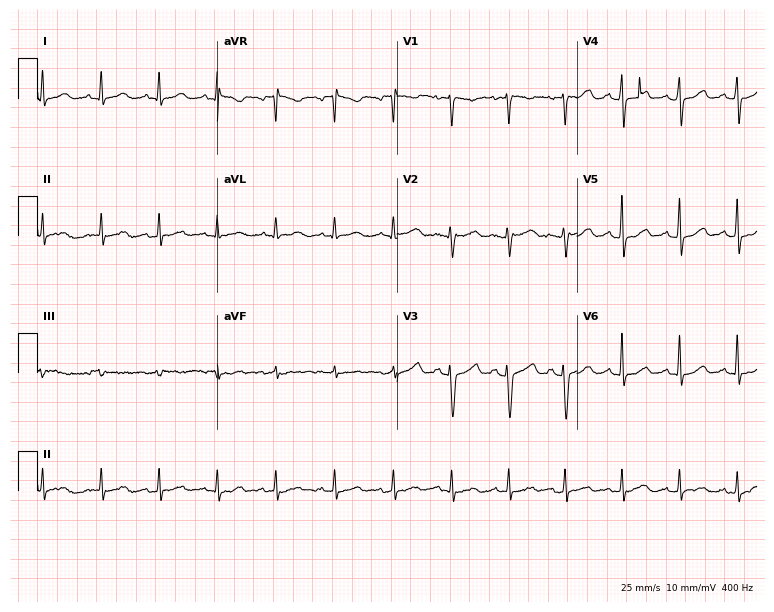
12-lead ECG from a 39-year-old female patient (7.3-second recording at 400 Hz). Recorded interpretation: within normal limits.